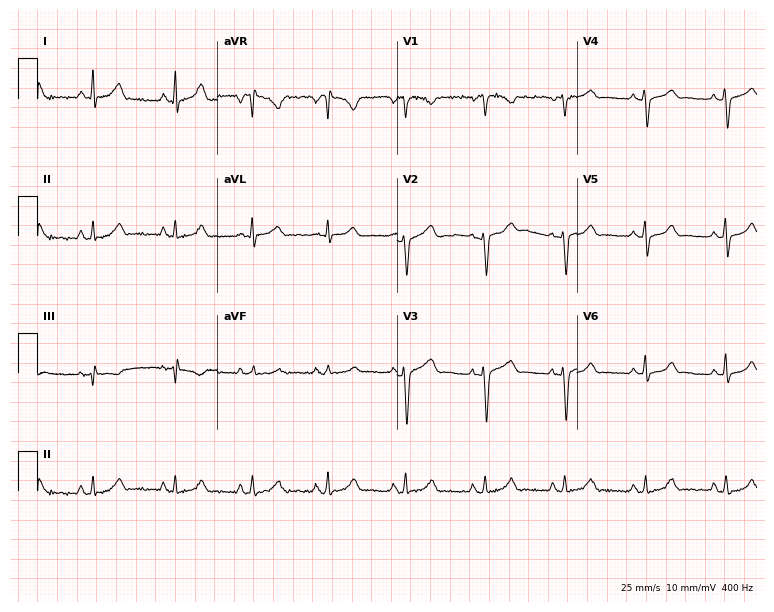
Resting 12-lead electrocardiogram (7.3-second recording at 400 Hz). Patient: a female, 35 years old. Read as a normal ECG.